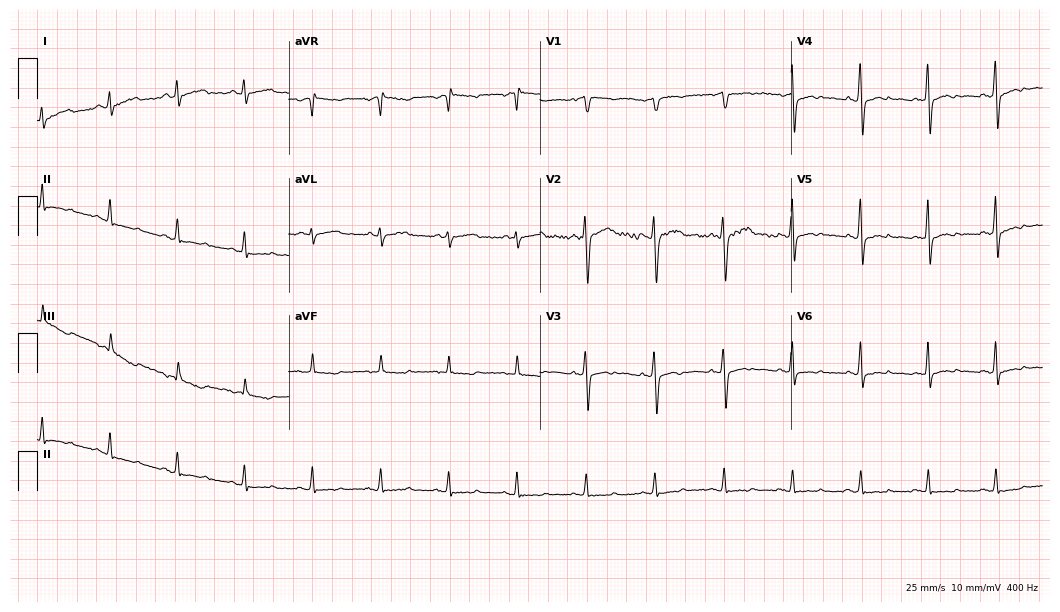
12-lead ECG from a woman, 55 years old. No first-degree AV block, right bundle branch block (RBBB), left bundle branch block (LBBB), sinus bradycardia, atrial fibrillation (AF) or sinus tachycardia recorded for this tracing. Only these six findings were labelled.